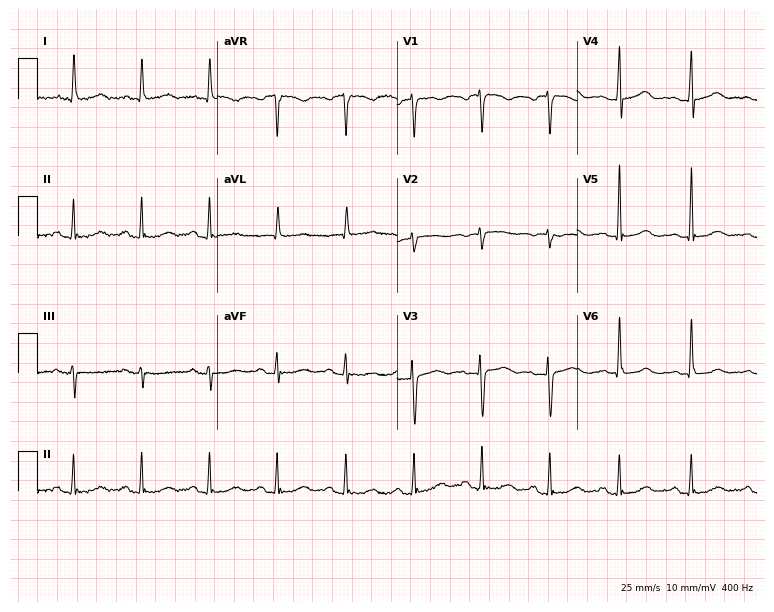
12-lead ECG from a woman, 75 years old (7.3-second recording at 400 Hz). No first-degree AV block, right bundle branch block, left bundle branch block, sinus bradycardia, atrial fibrillation or sinus tachycardia recorded for this tracing. Other findings, if any, are not listed.